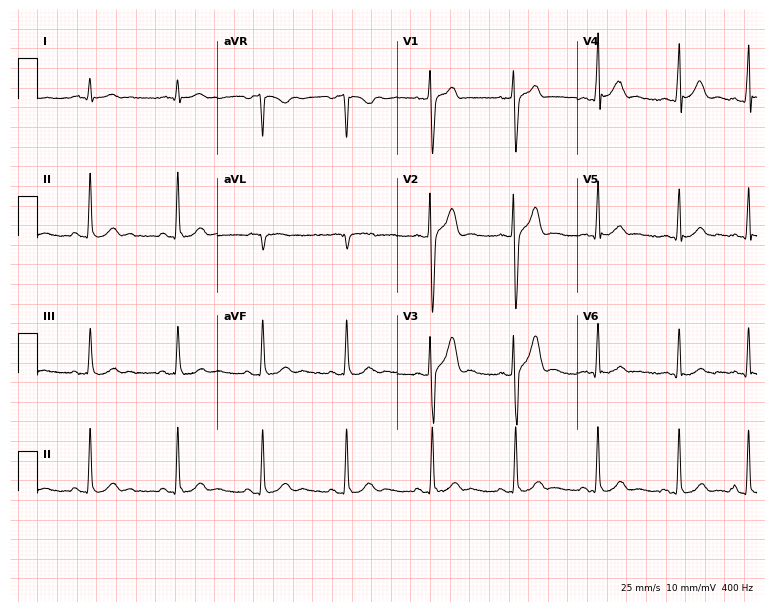
Resting 12-lead electrocardiogram (7.3-second recording at 400 Hz). Patient: a 23-year-old male. Read as a normal ECG.